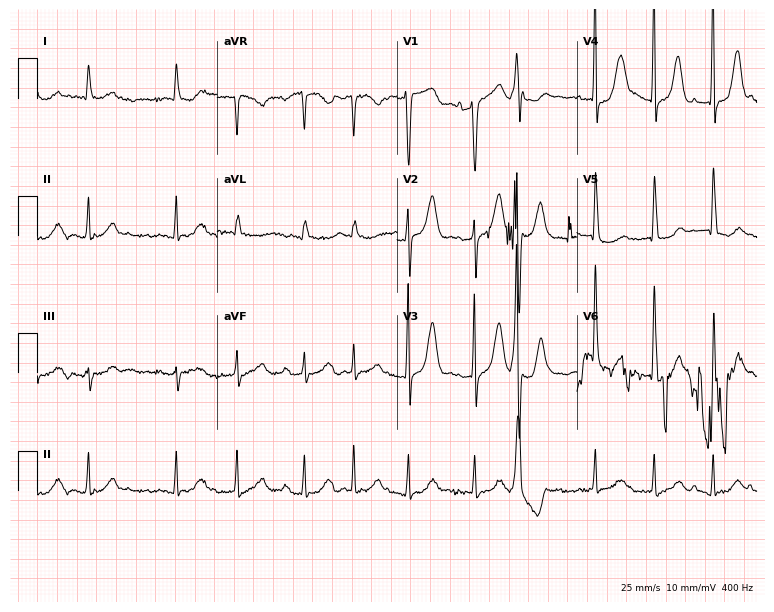
Resting 12-lead electrocardiogram. Patient: a 76-year-old woman. None of these six findings is recorded: first-degree AV block, right bundle branch block (RBBB), left bundle branch block (LBBB), sinus bradycardia, atrial fibrillation (AF), sinus tachycardia. Other findings, if any, are not listed.